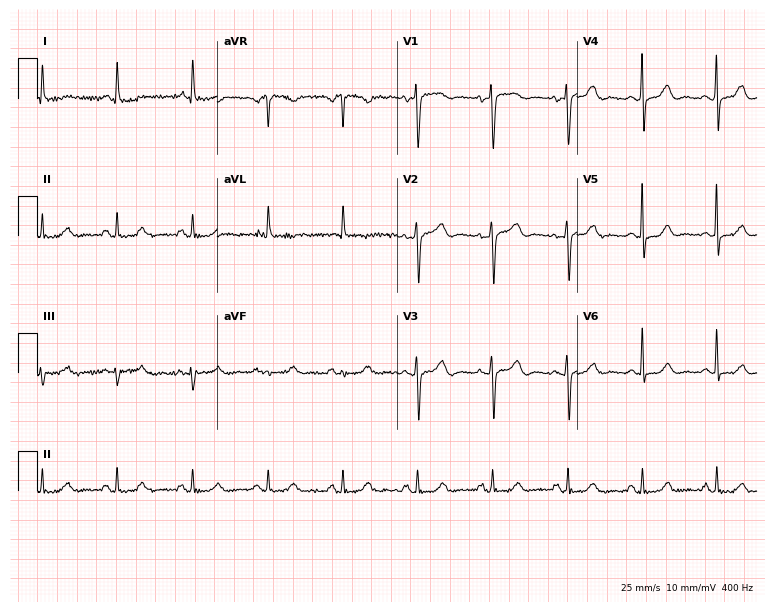
12-lead ECG from a female patient, 68 years old. No first-degree AV block, right bundle branch block, left bundle branch block, sinus bradycardia, atrial fibrillation or sinus tachycardia recorded for this tracing. Findings outside these six are not listed.